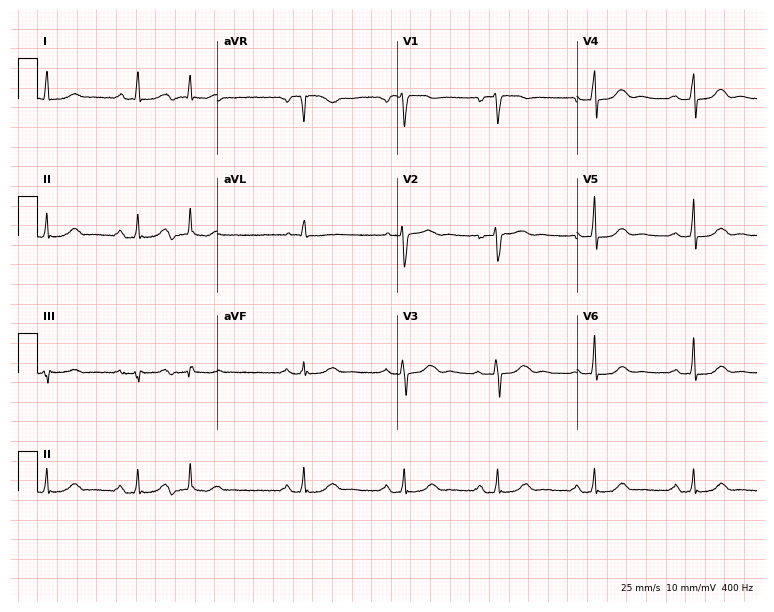
12-lead ECG (7.3-second recording at 400 Hz) from a 48-year-old female. Screened for six findings — first-degree AV block, right bundle branch block, left bundle branch block, sinus bradycardia, atrial fibrillation, sinus tachycardia — none is recorded. Only these six findings were labelled.